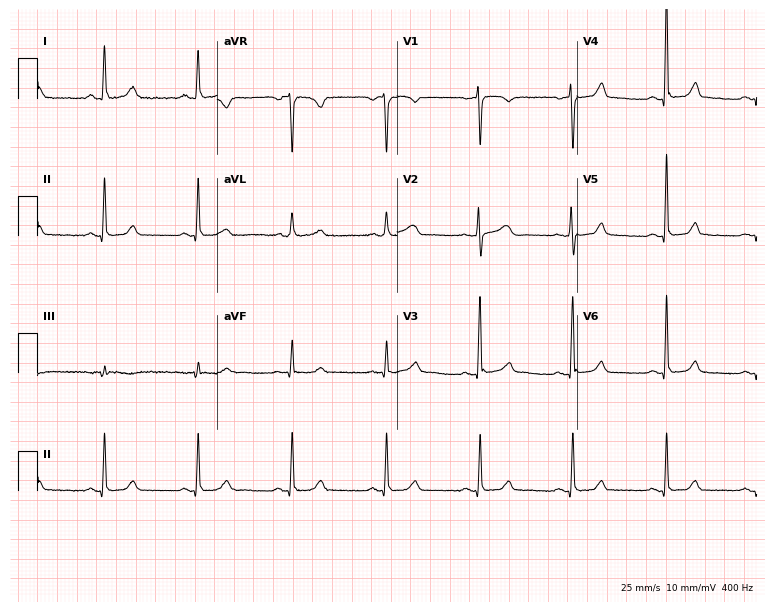
Standard 12-lead ECG recorded from a 54-year-old woman. None of these six findings is recorded: first-degree AV block, right bundle branch block, left bundle branch block, sinus bradycardia, atrial fibrillation, sinus tachycardia.